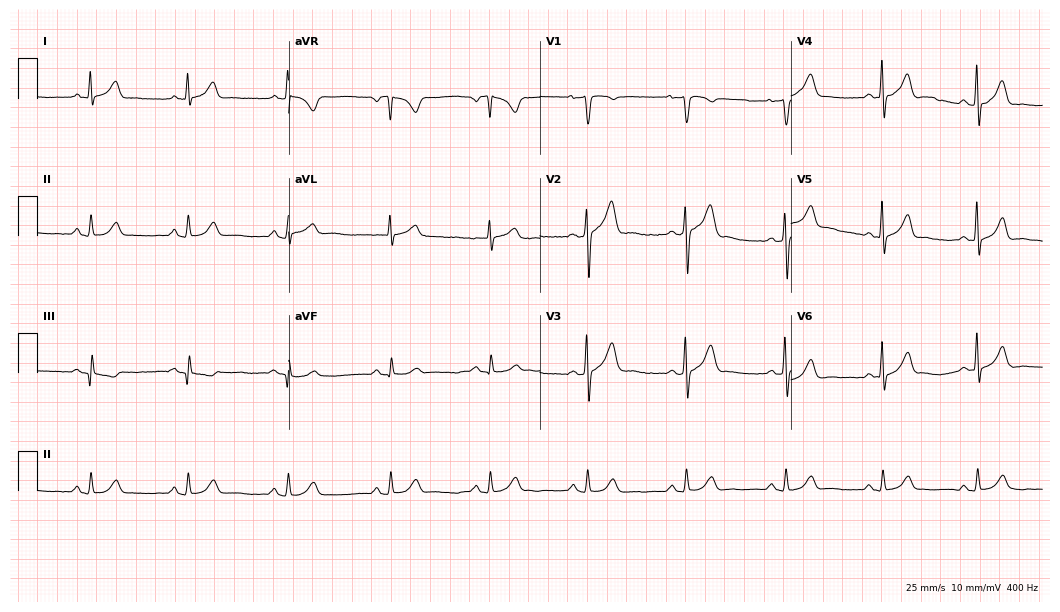
Standard 12-lead ECG recorded from a 53-year-old male patient (10.2-second recording at 400 Hz). Read as a normal ECG.